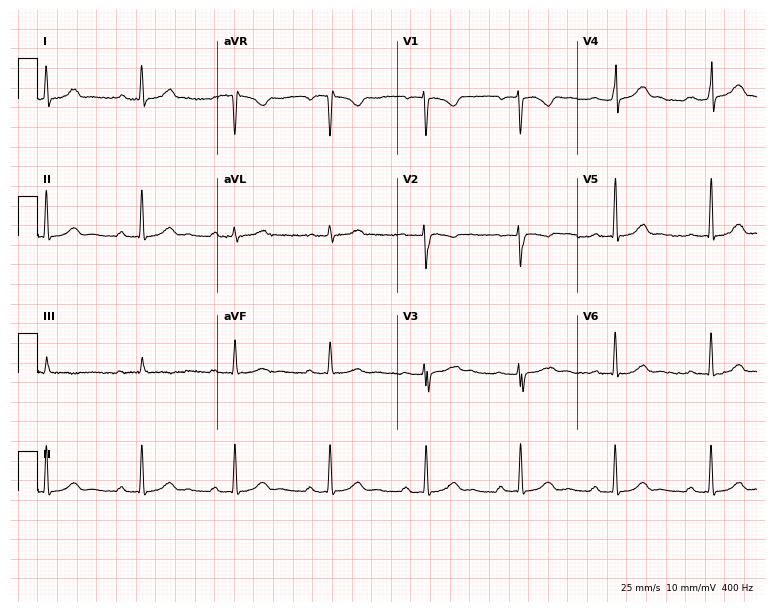
Electrocardiogram, a woman, 46 years old. Of the six screened findings (first-degree AV block, right bundle branch block, left bundle branch block, sinus bradycardia, atrial fibrillation, sinus tachycardia), none is recorded. Only these six findings were labelled.